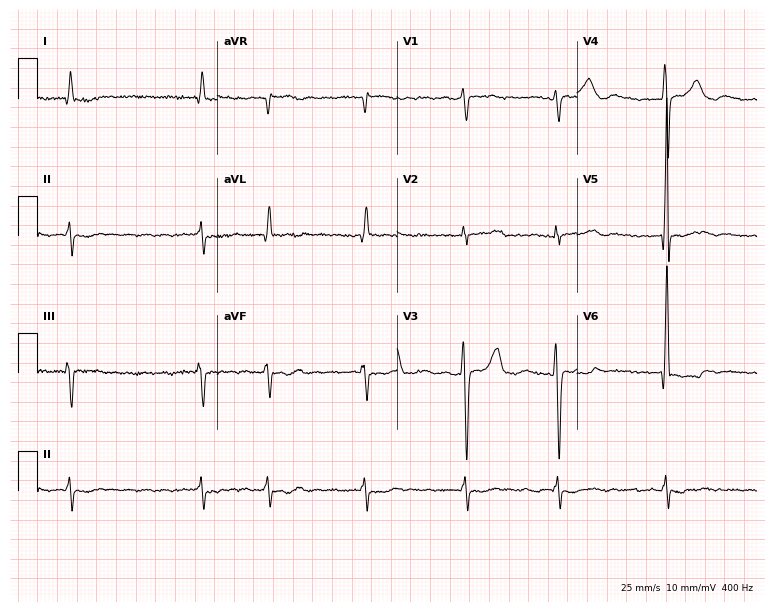
Electrocardiogram, a 76-year-old man. Interpretation includes atrial fibrillation.